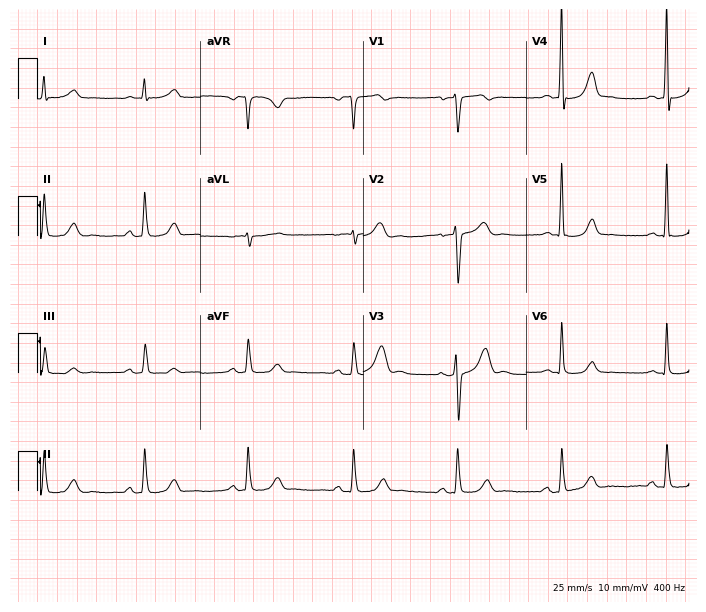
ECG — a 55-year-old female. Screened for six findings — first-degree AV block, right bundle branch block (RBBB), left bundle branch block (LBBB), sinus bradycardia, atrial fibrillation (AF), sinus tachycardia — none is recorded.